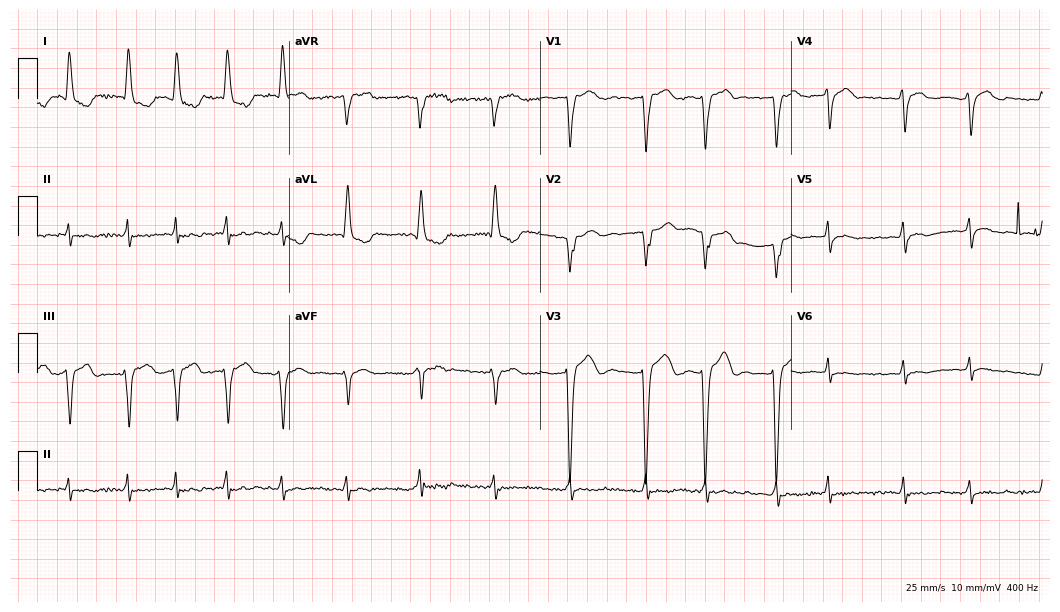
Resting 12-lead electrocardiogram (10.2-second recording at 400 Hz). Patient: a female, 66 years old. The tracing shows atrial fibrillation.